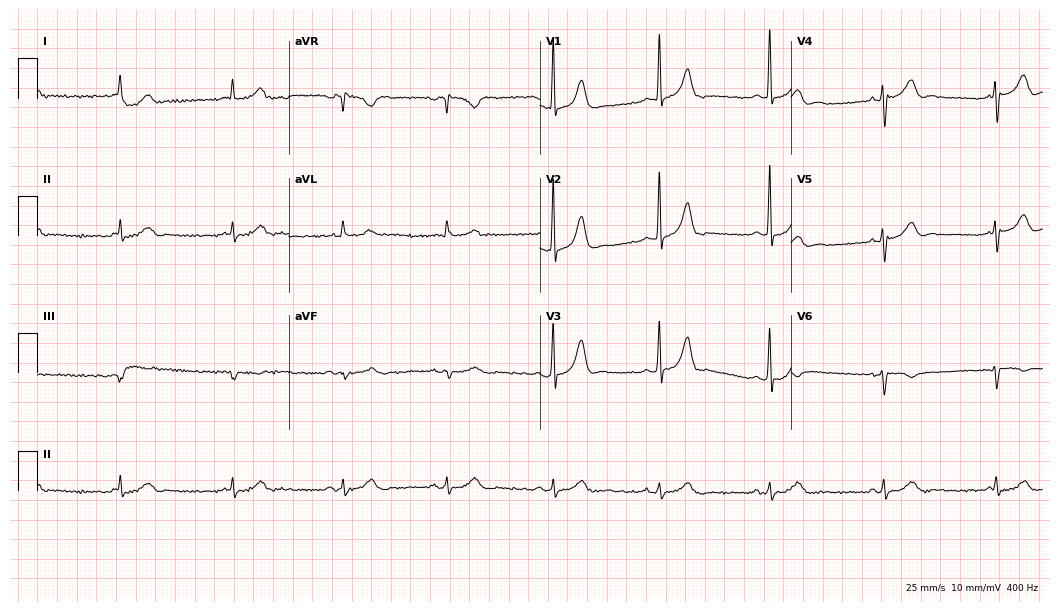
Standard 12-lead ECG recorded from a male patient, 66 years old (10.2-second recording at 400 Hz). None of these six findings is recorded: first-degree AV block, right bundle branch block, left bundle branch block, sinus bradycardia, atrial fibrillation, sinus tachycardia. Other findings, if any, are not listed.